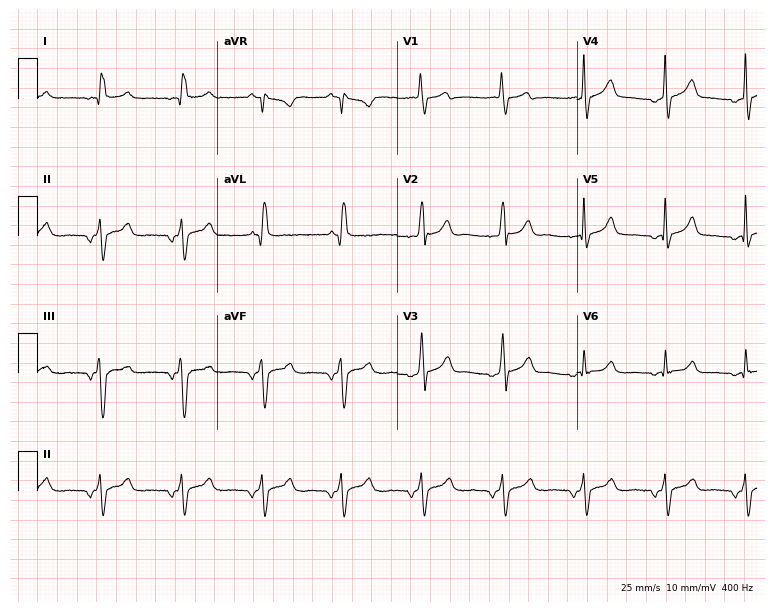
12-lead ECG from a 56-year-old male. No first-degree AV block, right bundle branch block (RBBB), left bundle branch block (LBBB), sinus bradycardia, atrial fibrillation (AF) or sinus tachycardia recorded for this tracing. Findings outside these six are not listed.